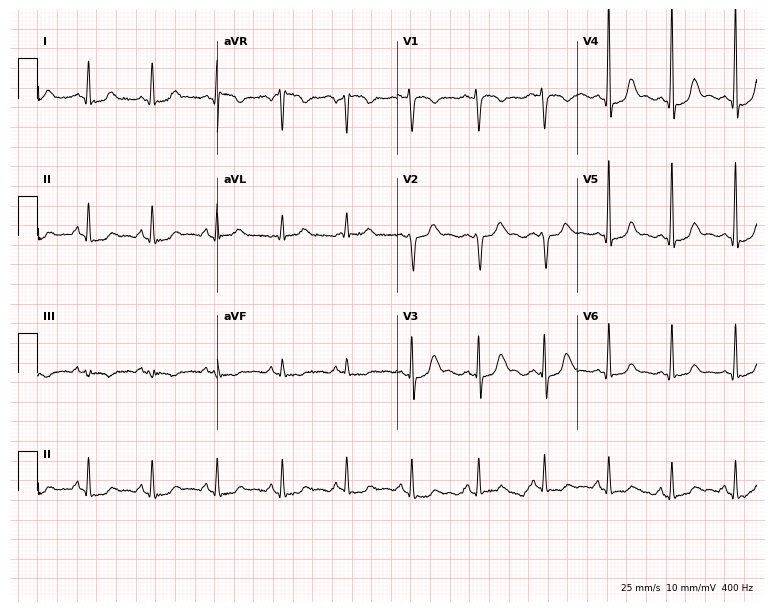
Standard 12-lead ECG recorded from a female patient, 37 years old (7.3-second recording at 400 Hz). None of these six findings is recorded: first-degree AV block, right bundle branch block, left bundle branch block, sinus bradycardia, atrial fibrillation, sinus tachycardia.